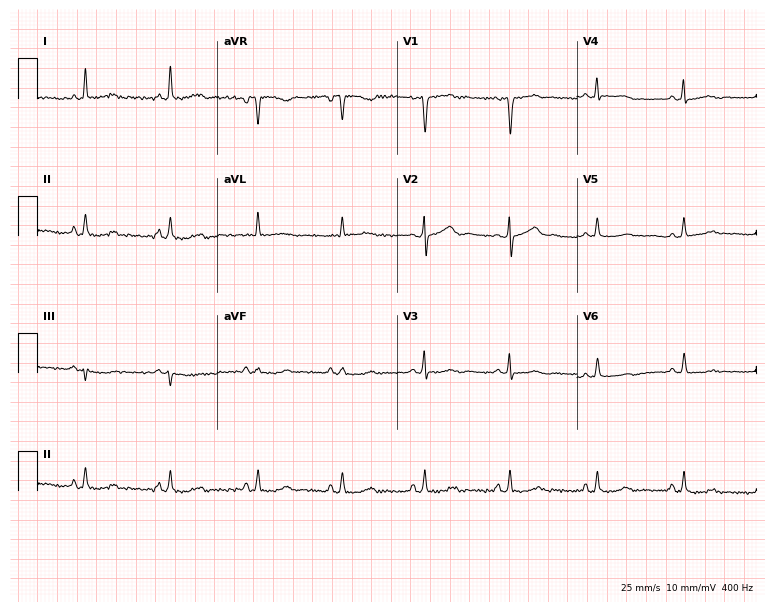
ECG (7.3-second recording at 400 Hz) — a woman, 42 years old. Screened for six findings — first-degree AV block, right bundle branch block (RBBB), left bundle branch block (LBBB), sinus bradycardia, atrial fibrillation (AF), sinus tachycardia — none is recorded.